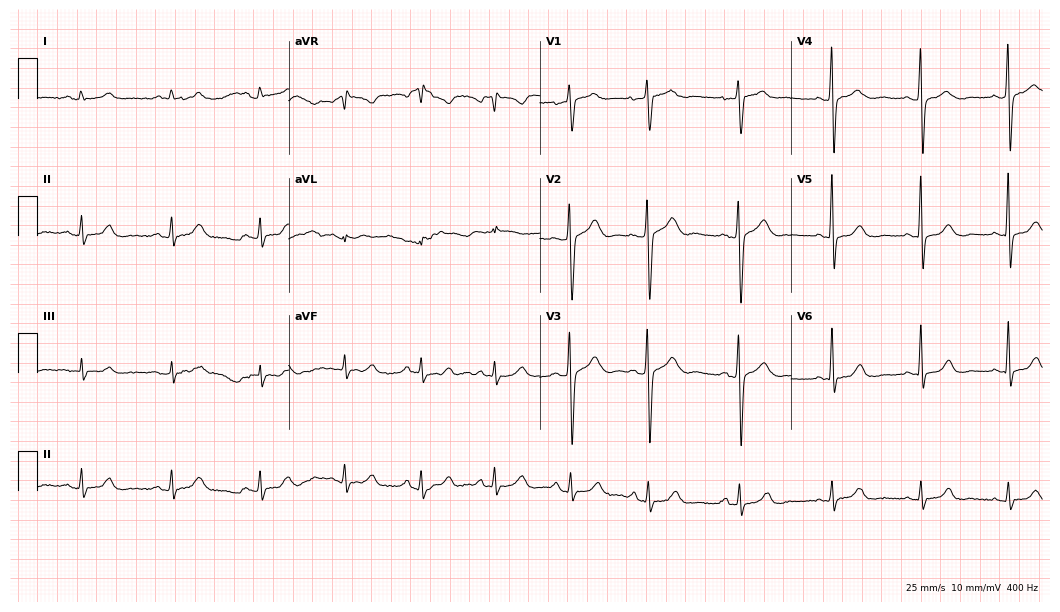
Standard 12-lead ECG recorded from a 64-year-old female (10.2-second recording at 400 Hz). None of these six findings is recorded: first-degree AV block, right bundle branch block (RBBB), left bundle branch block (LBBB), sinus bradycardia, atrial fibrillation (AF), sinus tachycardia.